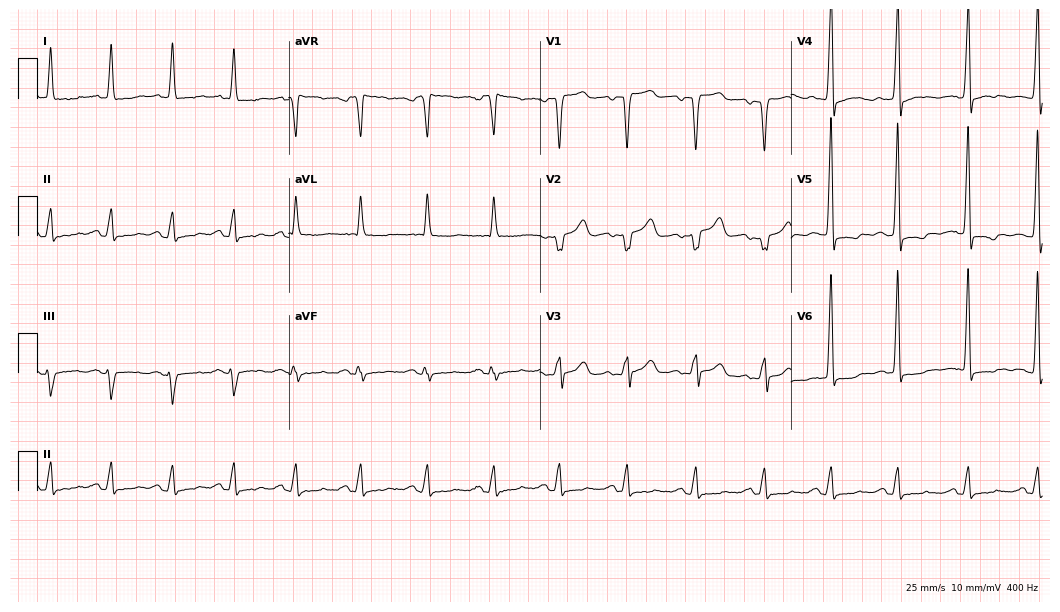
Resting 12-lead electrocardiogram (10.2-second recording at 400 Hz). Patient: a 44-year-old woman. None of these six findings is recorded: first-degree AV block, right bundle branch block, left bundle branch block, sinus bradycardia, atrial fibrillation, sinus tachycardia.